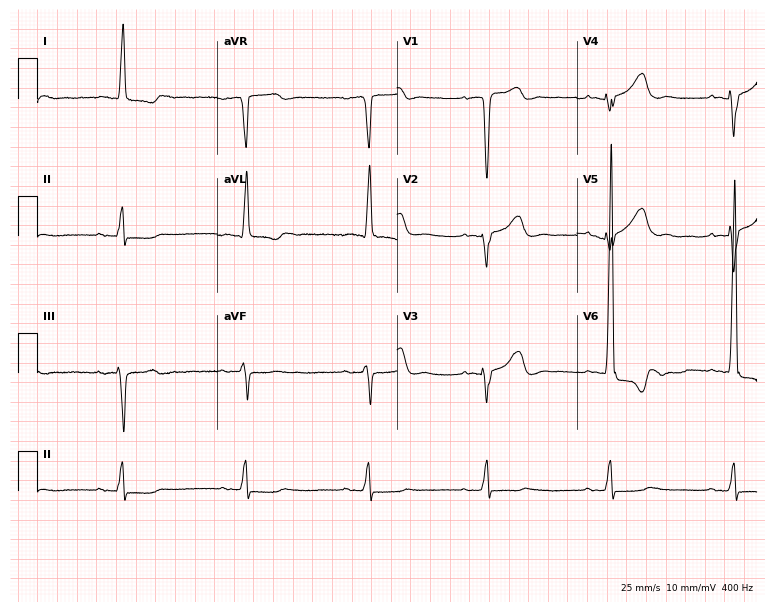
12-lead ECG from a male patient, 69 years old (7.3-second recording at 400 Hz). Shows sinus bradycardia (a sinus rate of 50 beats per minute or less).